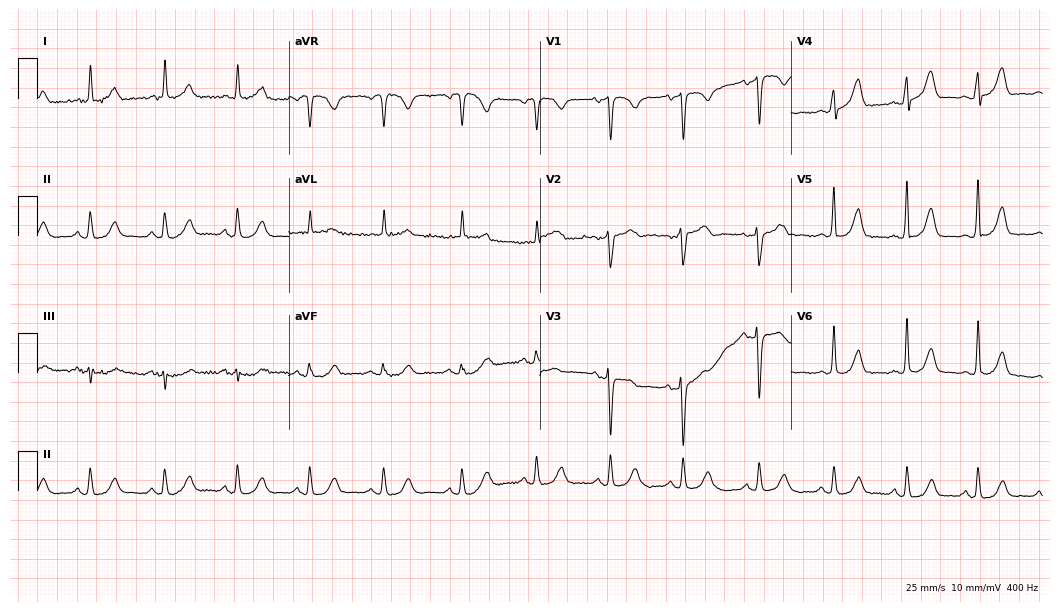
12-lead ECG from an 86-year-old woman. Labelled as a normal ECG.